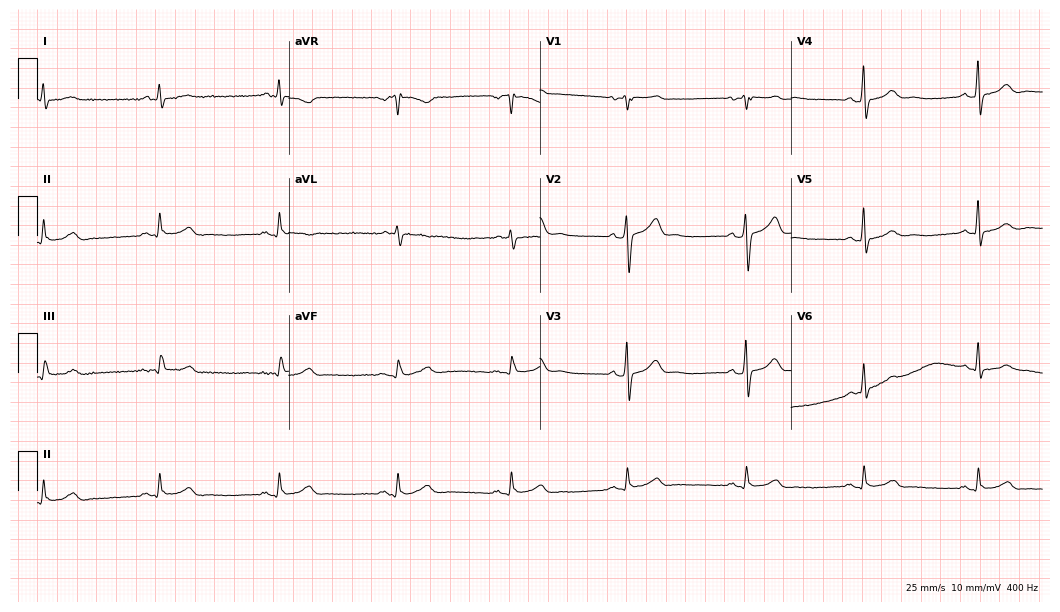
ECG (10.2-second recording at 400 Hz) — a man, 61 years old. Labelled as a normal ECG.